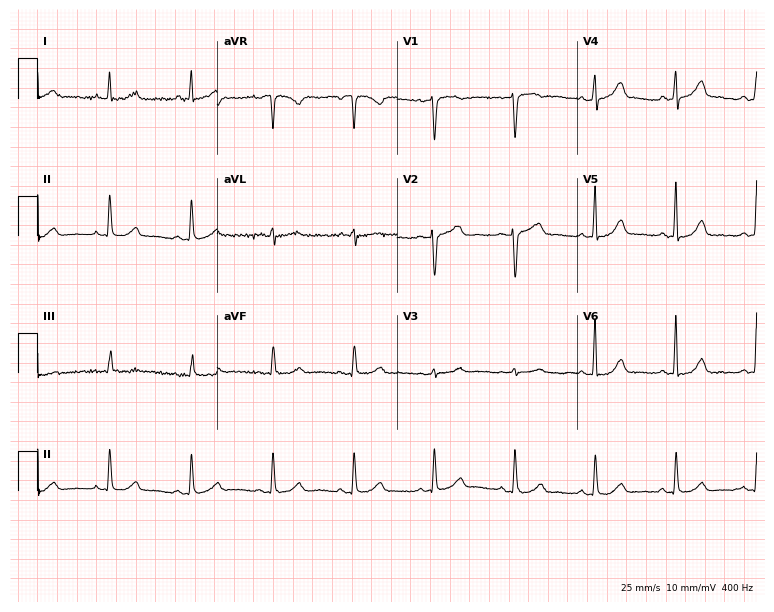
Electrocardiogram, a 45-year-old female patient. Overall reading on record: normal ECG.